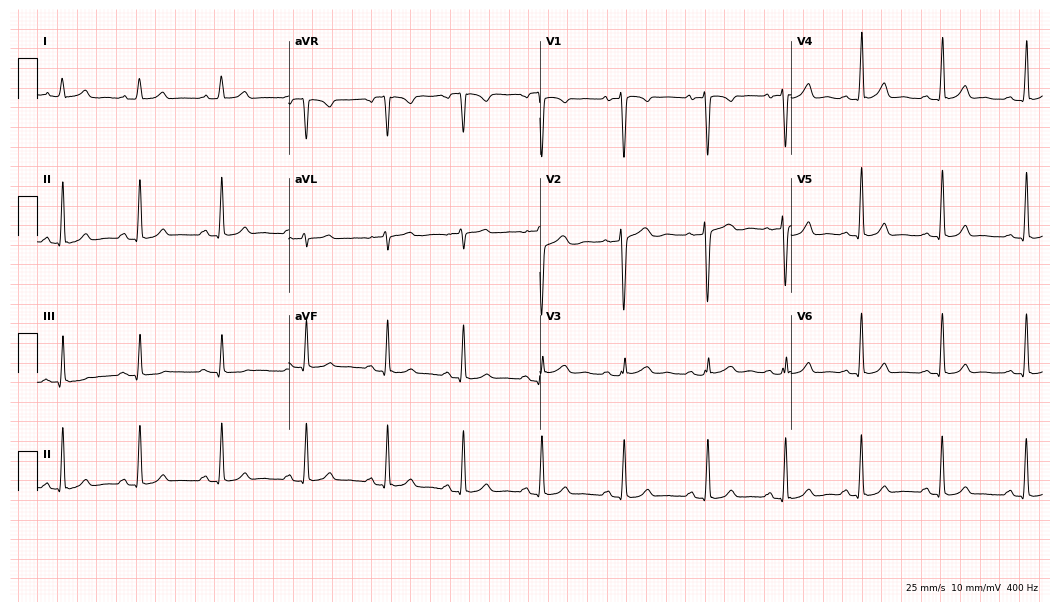
12-lead ECG from a woman, 24 years old. No first-degree AV block, right bundle branch block, left bundle branch block, sinus bradycardia, atrial fibrillation or sinus tachycardia recorded for this tracing. Findings outside these six are not listed.